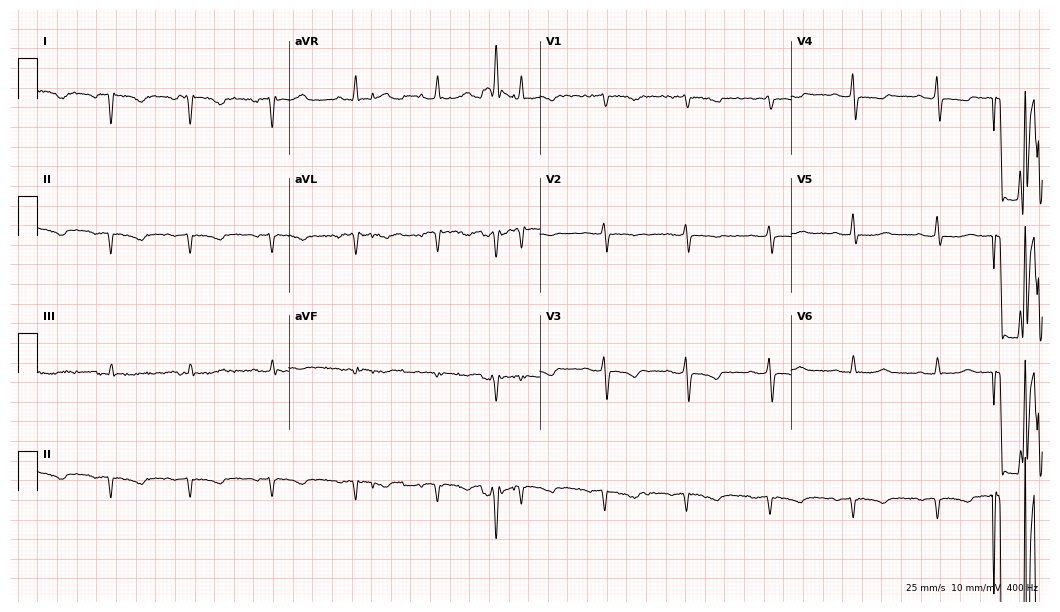
12-lead ECG from a female, 59 years old. Labelled as a normal ECG.